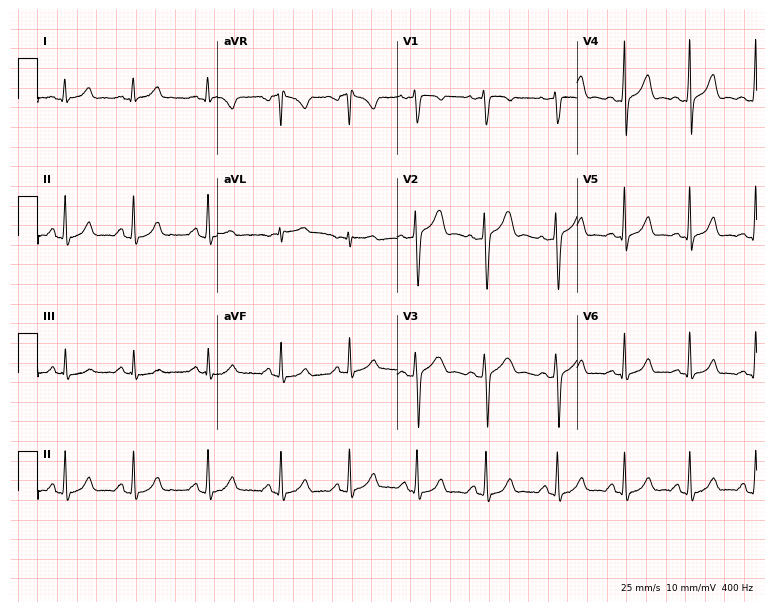
12-lead ECG from a woman, 22 years old (7.3-second recording at 400 Hz). Recorded interpretation: within normal limits.